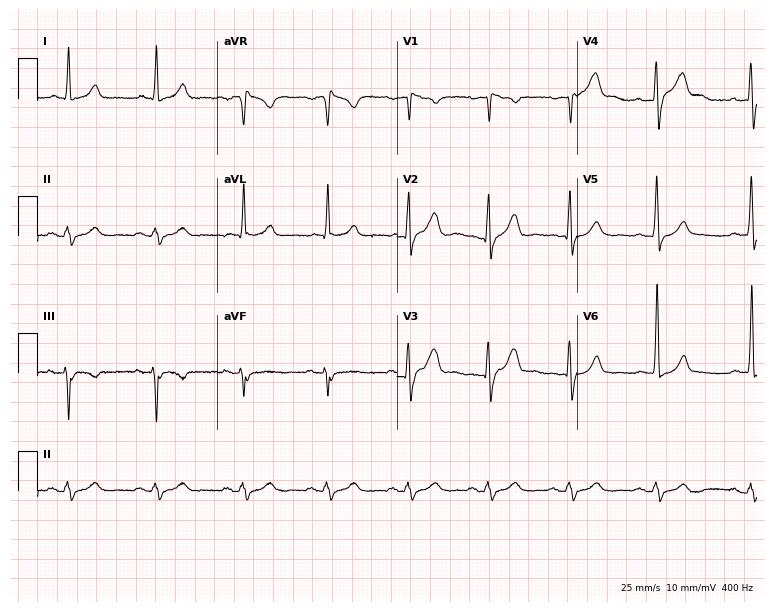
12-lead ECG from a 40-year-old man (7.3-second recording at 400 Hz). No first-degree AV block, right bundle branch block (RBBB), left bundle branch block (LBBB), sinus bradycardia, atrial fibrillation (AF) or sinus tachycardia recorded for this tracing.